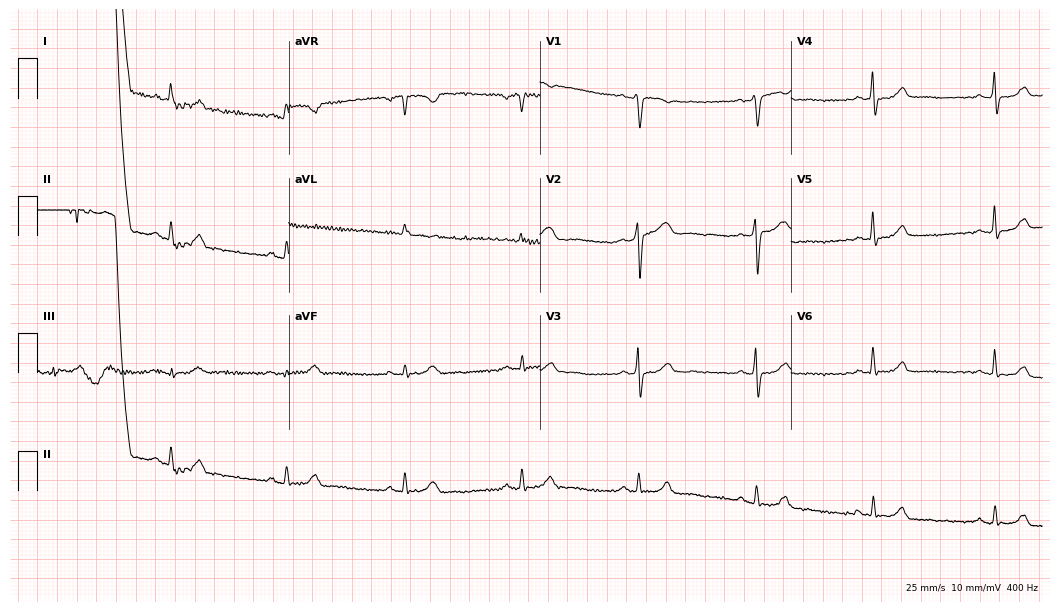
Resting 12-lead electrocardiogram. Patient: a female, 57 years old. None of these six findings is recorded: first-degree AV block, right bundle branch block (RBBB), left bundle branch block (LBBB), sinus bradycardia, atrial fibrillation (AF), sinus tachycardia. Other findings, if any, are not listed.